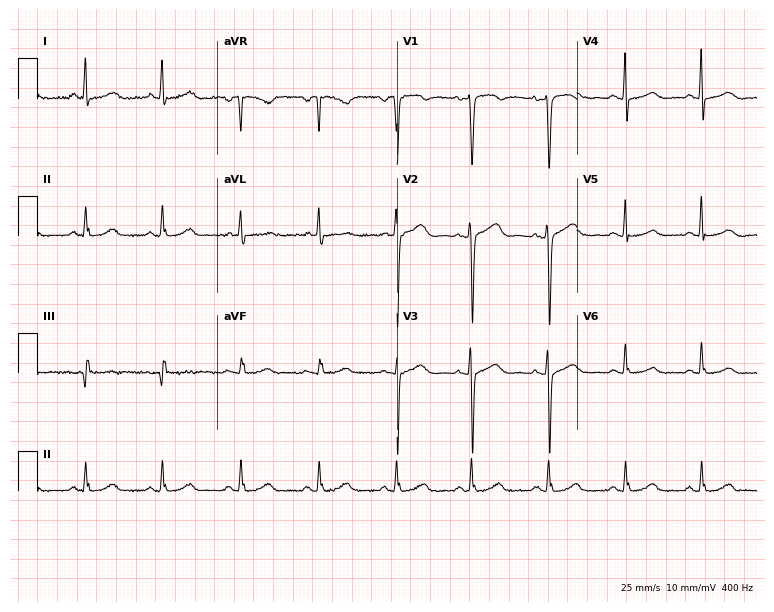
Resting 12-lead electrocardiogram. Patient: a woman, 33 years old. None of these six findings is recorded: first-degree AV block, right bundle branch block, left bundle branch block, sinus bradycardia, atrial fibrillation, sinus tachycardia.